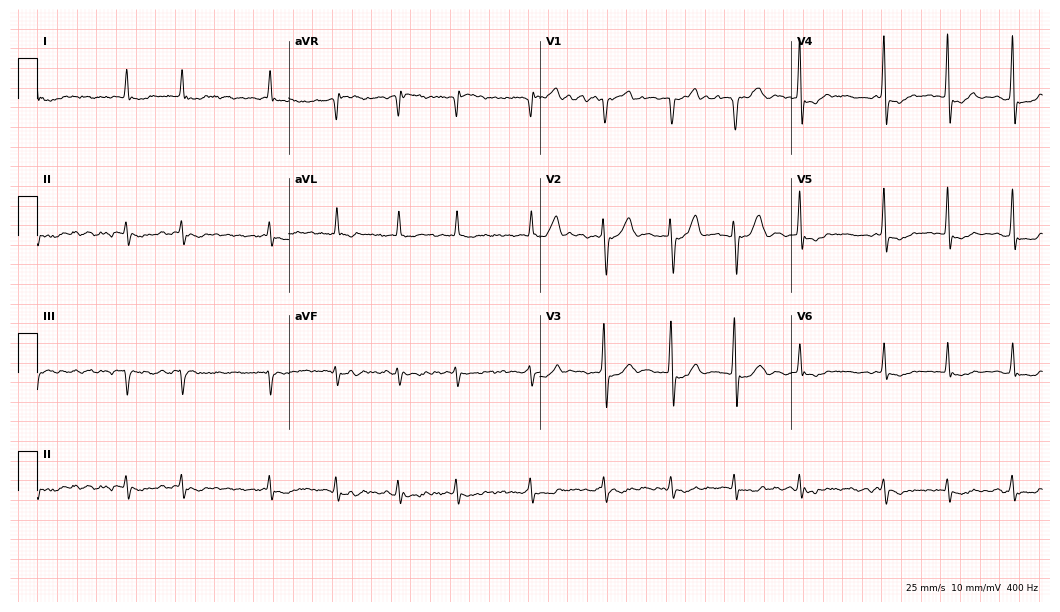
Resting 12-lead electrocardiogram. Patient: a male, 74 years old. The tracing shows atrial fibrillation.